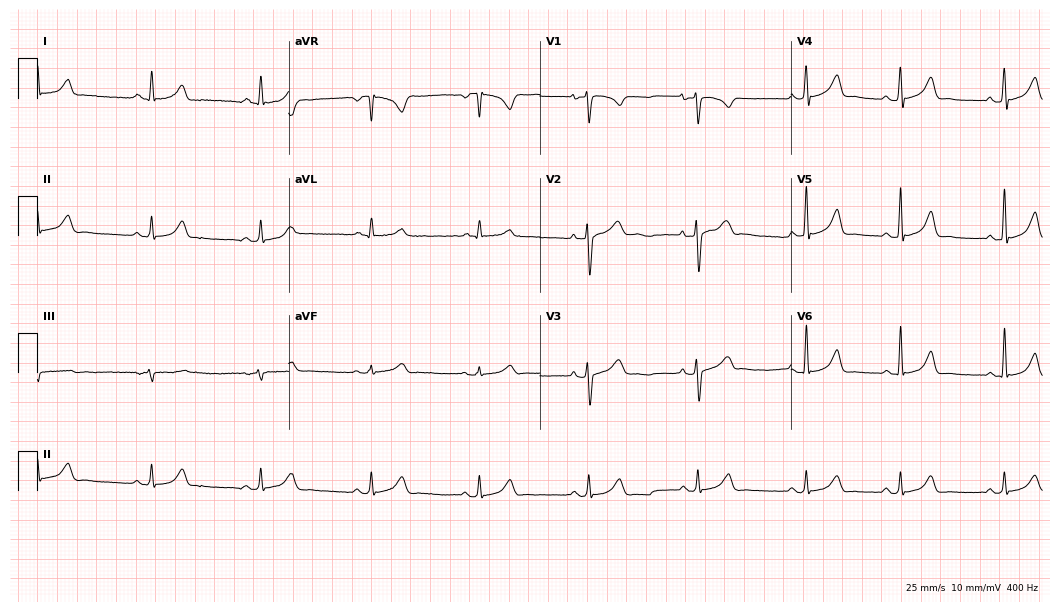
ECG (10.2-second recording at 400 Hz) — a woman, 38 years old. Screened for six findings — first-degree AV block, right bundle branch block, left bundle branch block, sinus bradycardia, atrial fibrillation, sinus tachycardia — none is recorded. Findings outside these six are not listed.